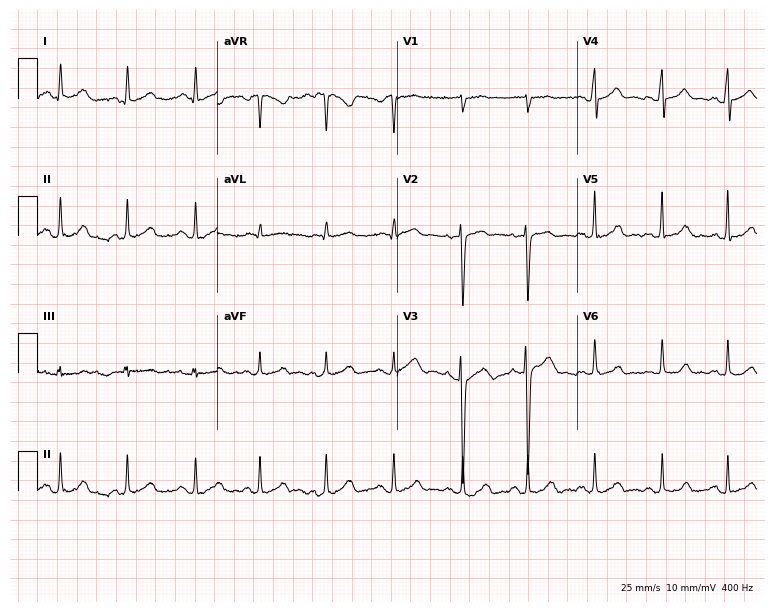
Electrocardiogram (7.3-second recording at 400 Hz), a male patient, 31 years old. Overall reading on record: normal ECG.